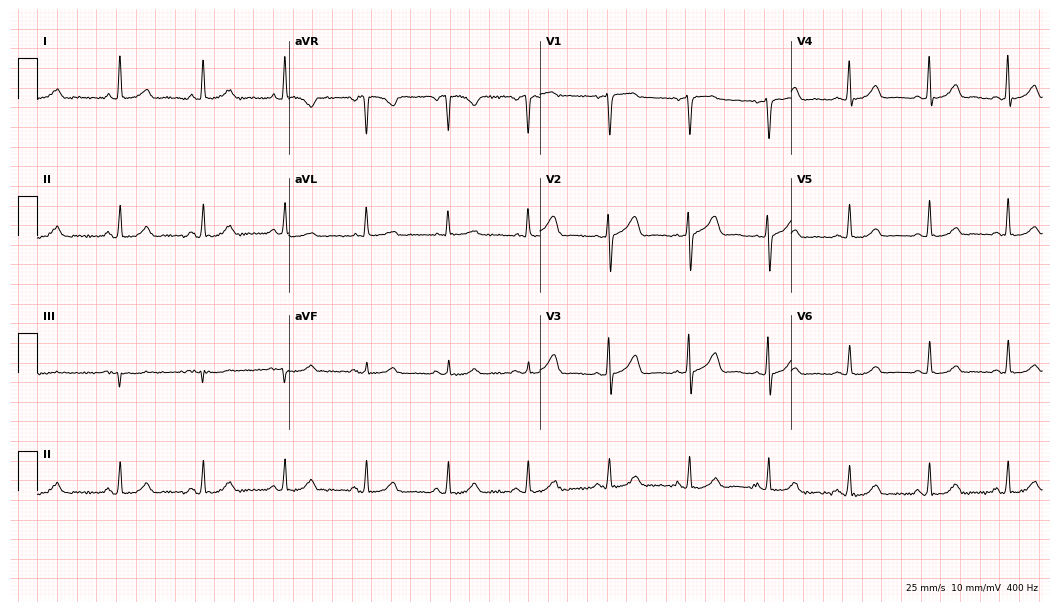
Resting 12-lead electrocardiogram. Patient: a 65-year-old woman. None of these six findings is recorded: first-degree AV block, right bundle branch block, left bundle branch block, sinus bradycardia, atrial fibrillation, sinus tachycardia.